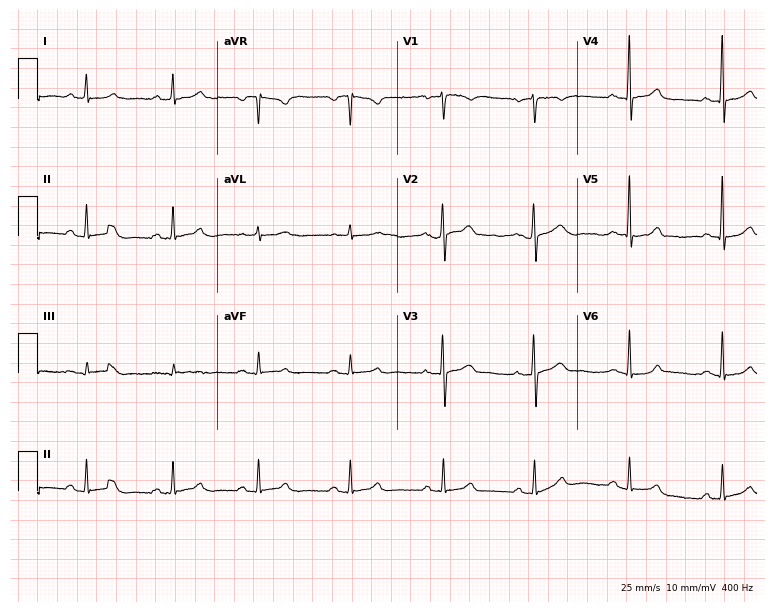
Resting 12-lead electrocardiogram (7.3-second recording at 400 Hz). Patient: a female, 44 years old. Read as a normal ECG.